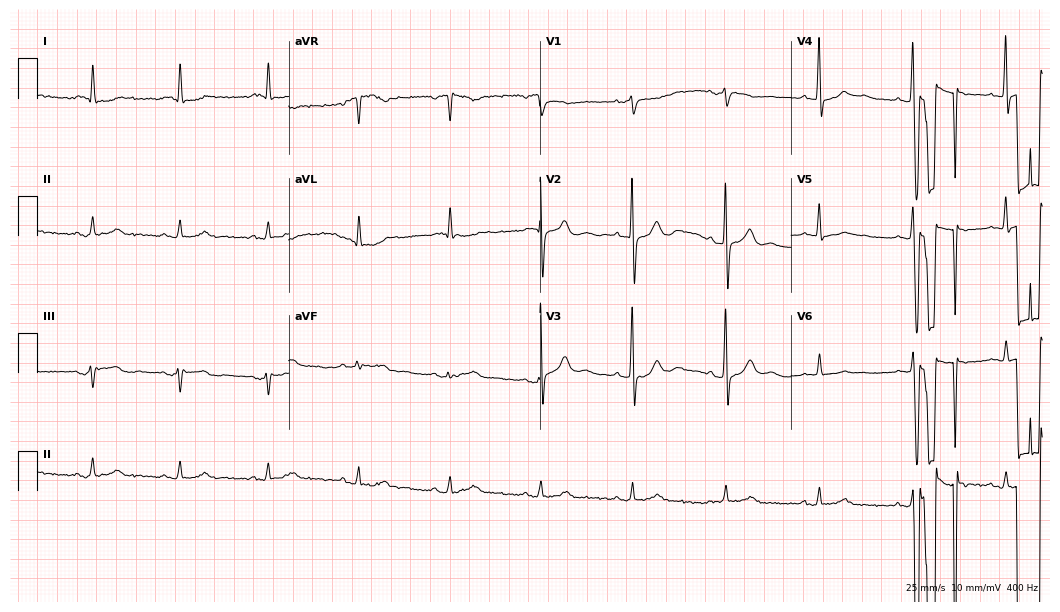
Resting 12-lead electrocardiogram (10.2-second recording at 400 Hz). Patient: an 82-year-old man. Read as a normal ECG.